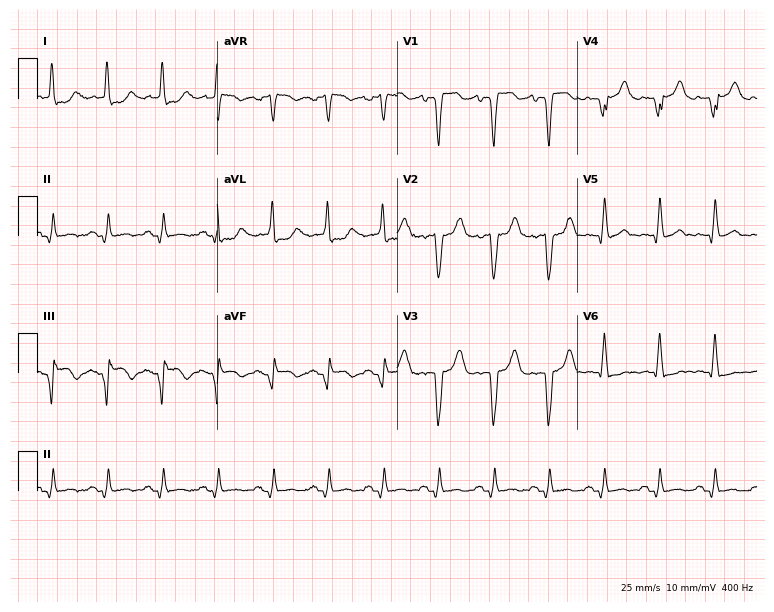
12-lead ECG from a male patient, 54 years old. Shows sinus tachycardia (a sinus rate of 100 beats per minute or more).